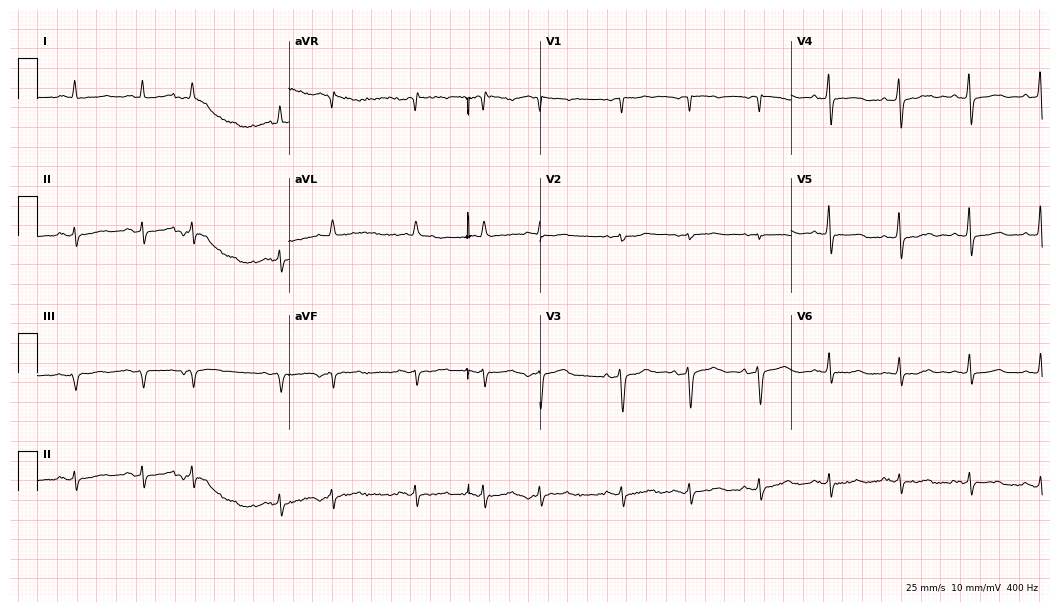
12-lead ECG from a woman, 83 years old. Screened for six findings — first-degree AV block, right bundle branch block, left bundle branch block, sinus bradycardia, atrial fibrillation, sinus tachycardia — none is recorded.